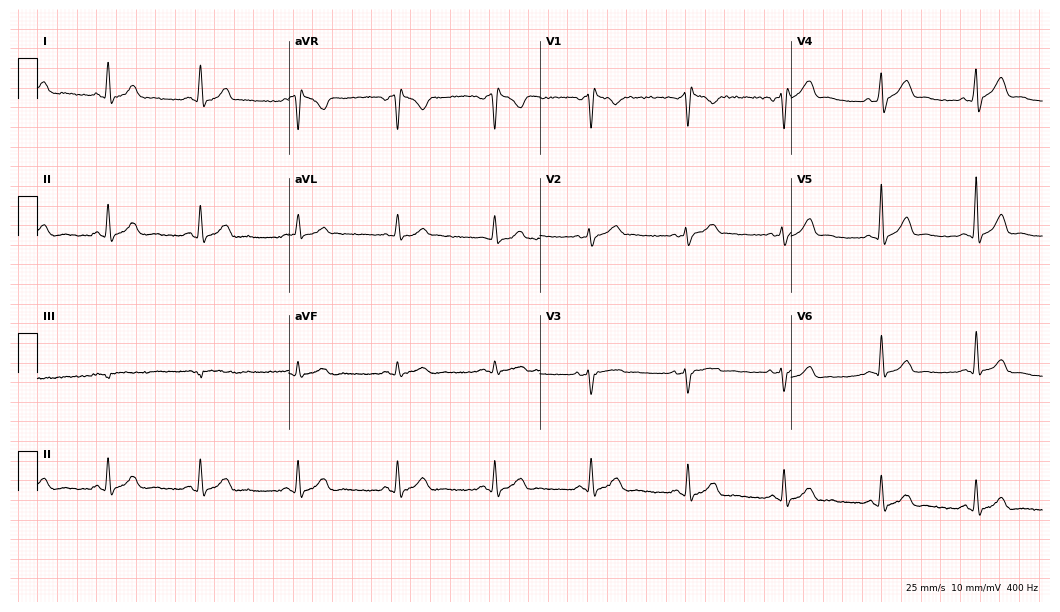
12-lead ECG from a male, 41 years old (10.2-second recording at 400 Hz). No first-degree AV block, right bundle branch block, left bundle branch block, sinus bradycardia, atrial fibrillation or sinus tachycardia recorded for this tracing.